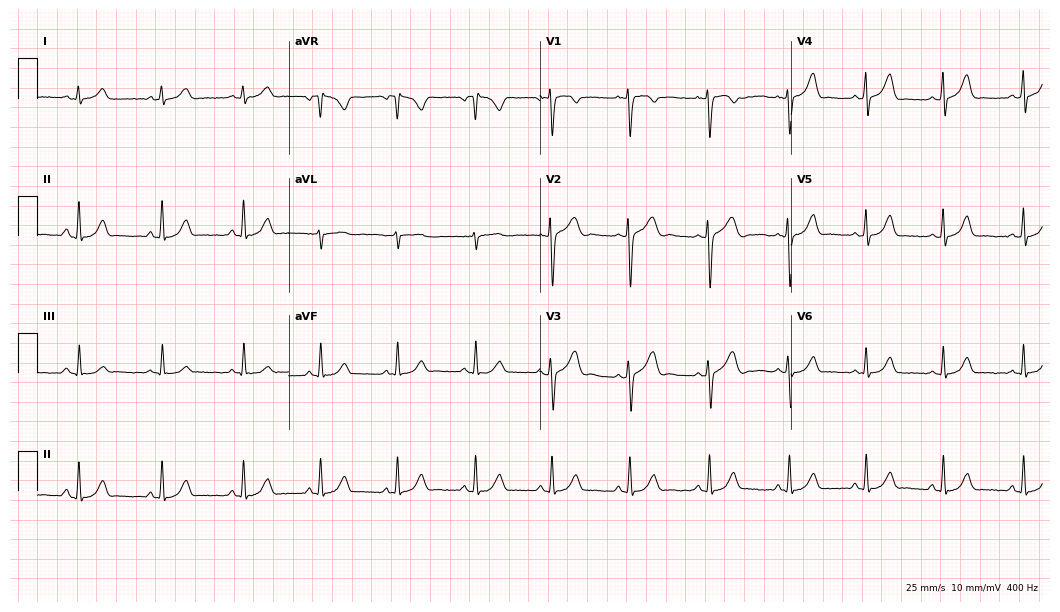
Electrocardiogram (10.2-second recording at 400 Hz), an 18-year-old female patient. Overall reading on record: normal ECG.